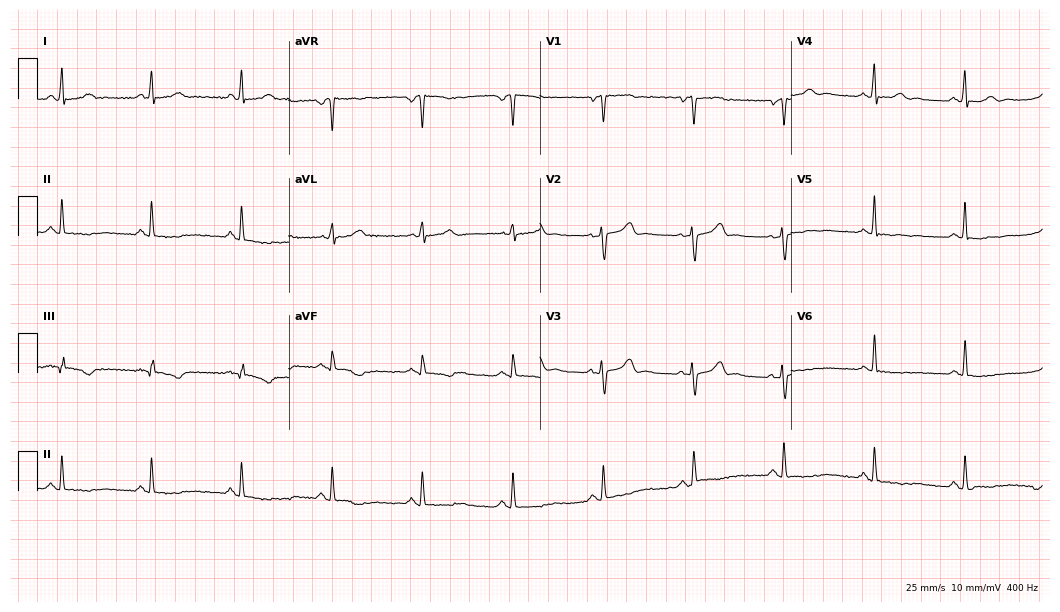
ECG — a female patient, 51 years old. Screened for six findings — first-degree AV block, right bundle branch block, left bundle branch block, sinus bradycardia, atrial fibrillation, sinus tachycardia — none is recorded.